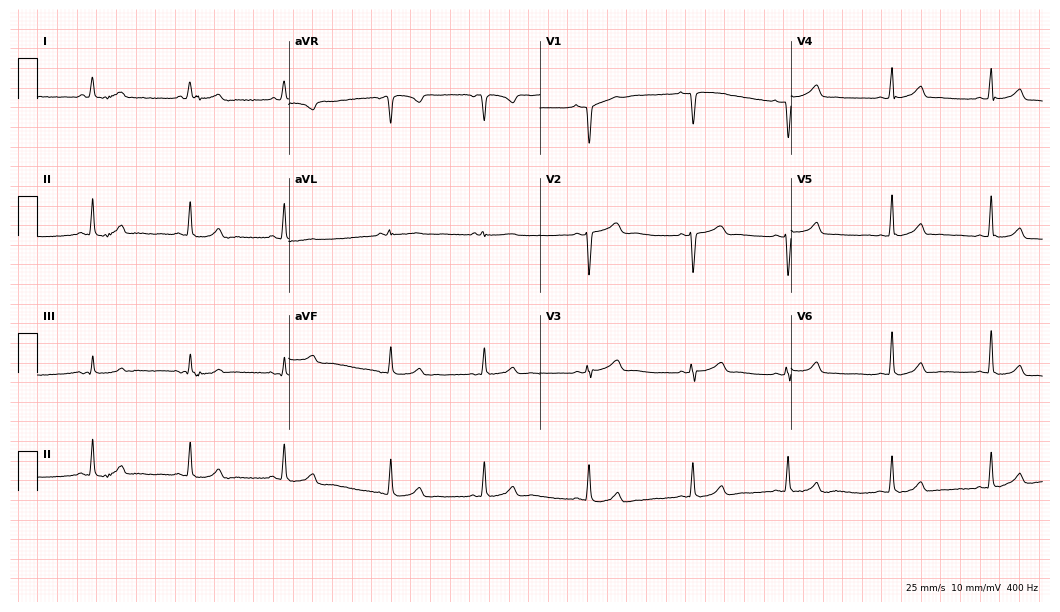
ECG — a female patient, 22 years old. Labelled as a normal ECG.